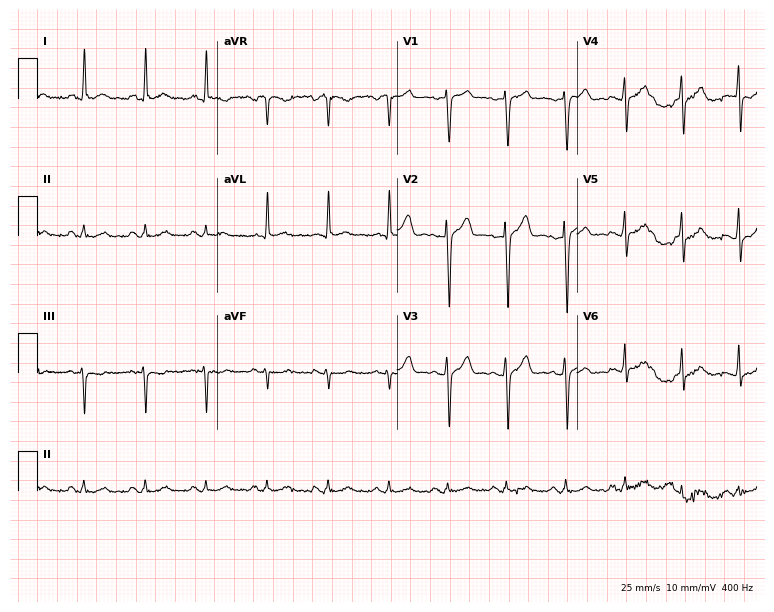
12-lead ECG from a male, 31 years old. Labelled as a normal ECG.